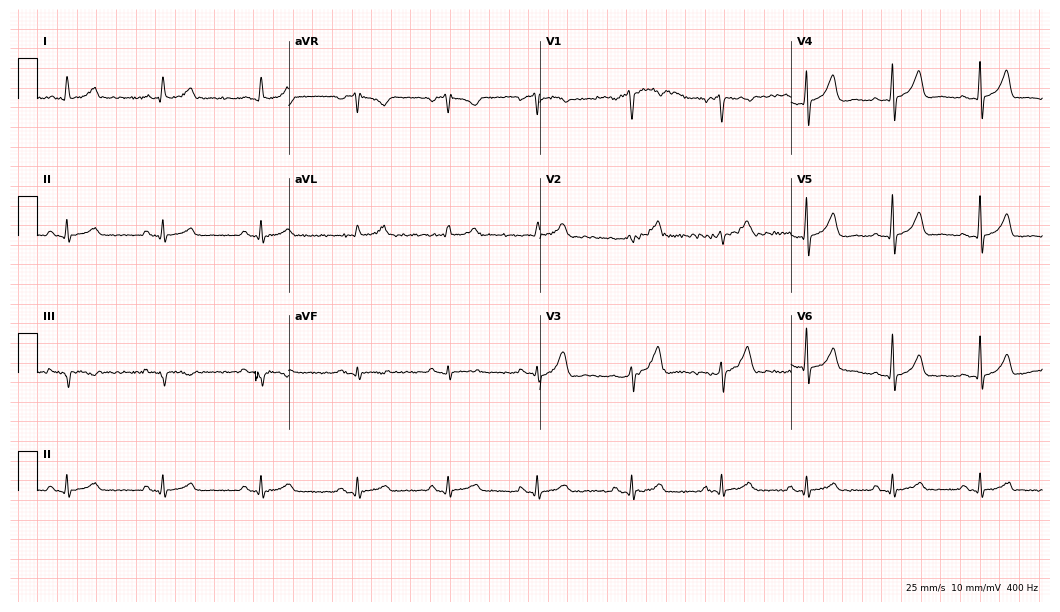
12-lead ECG (10.2-second recording at 400 Hz) from a man, 47 years old. Labelled as a normal ECG.